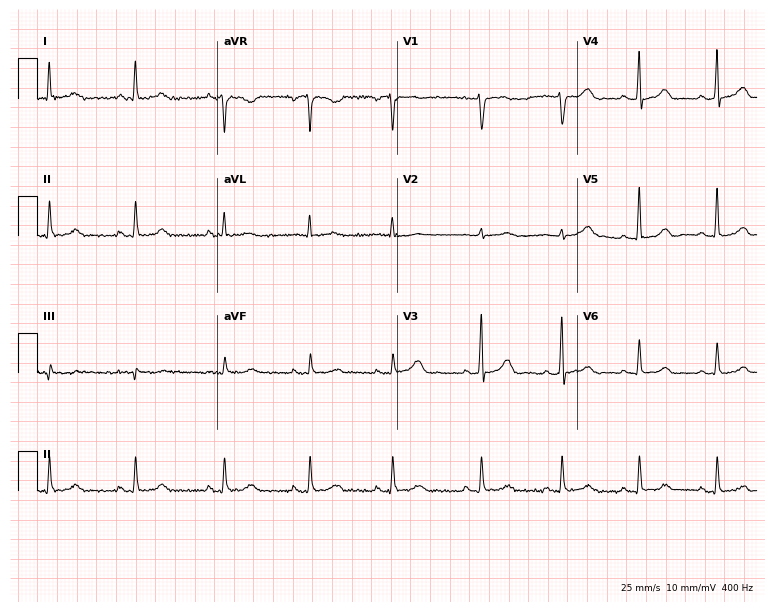
Standard 12-lead ECG recorded from a 44-year-old woman (7.3-second recording at 400 Hz). Read as a normal ECG.